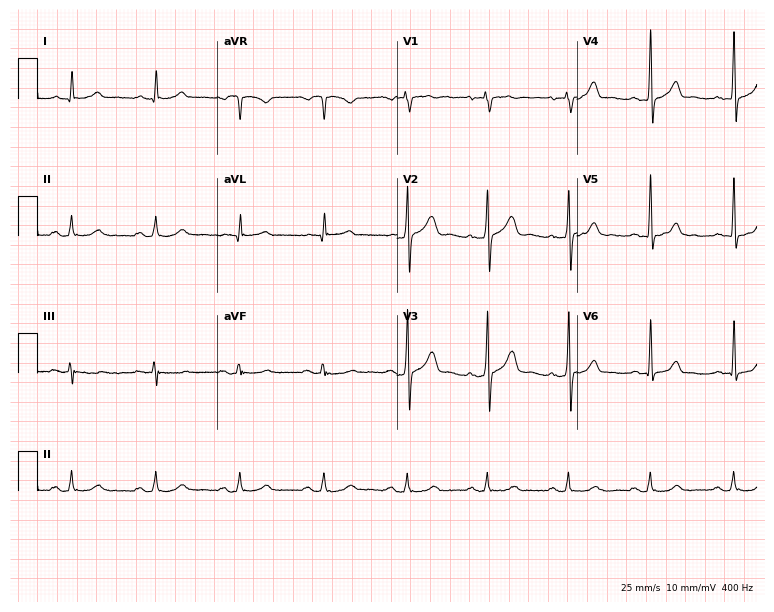
12-lead ECG from a male, 73 years old. No first-degree AV block, right bundle branch block, left bundle branch block, sinus bradycardia, atrial fibrillation or sinus tachycardia recorded for this tracing.